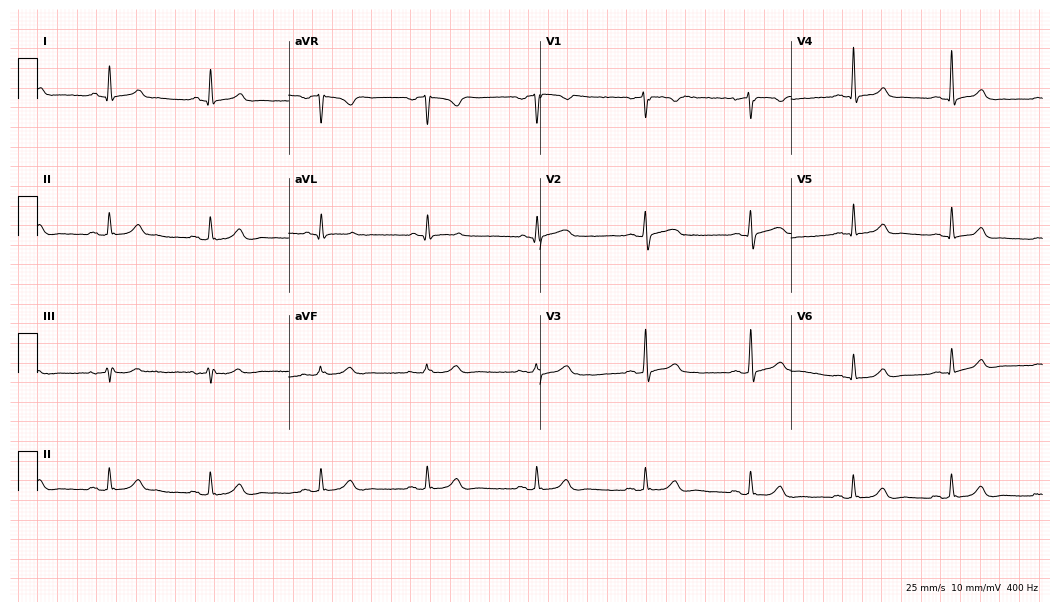
Standard 12-lead ECG recorded from a 36-year-old woman. Read as a normal ECG.